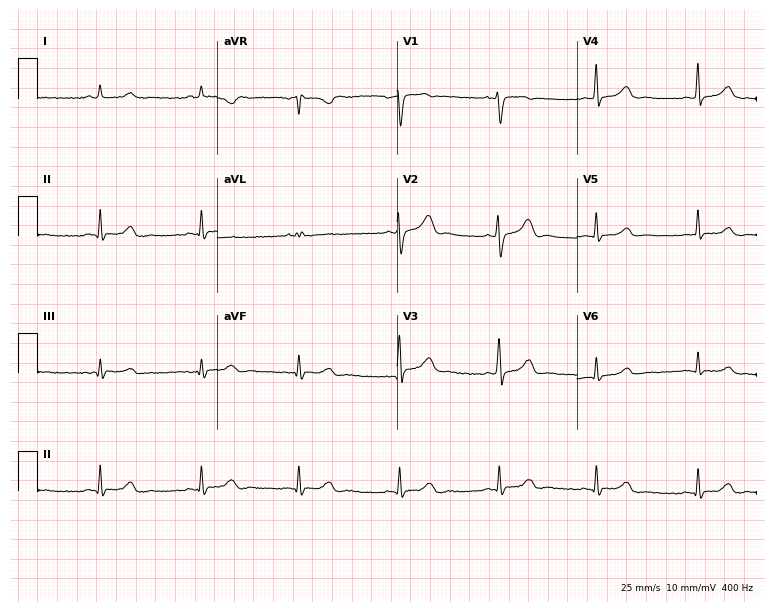
Electrocardiogram, a 29-year-old female patient. Of the six screened findings (first-degree AV block, right bundle branch block, left bundle branch block, sinus bradycardia, atrial fibrillation, sinus tachycardia), none is recorded.